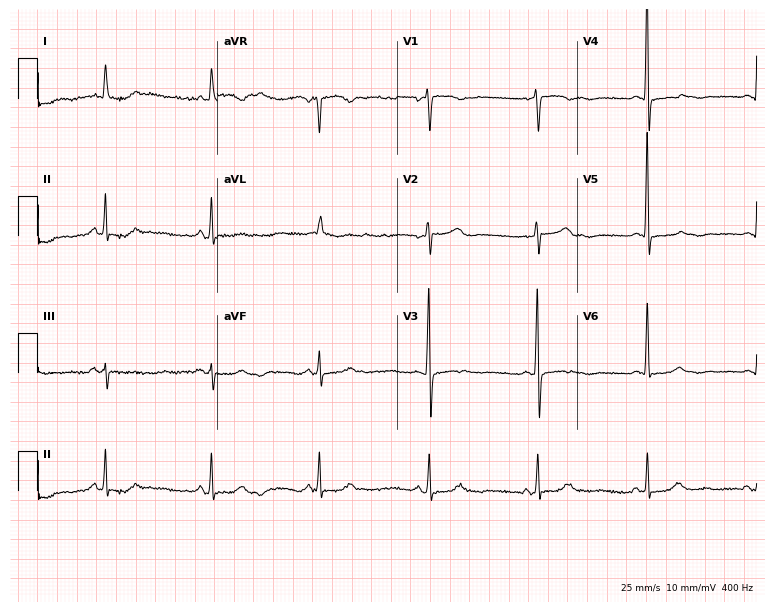
Resting 12-lead electrocardiogram (7.3-second recording at 400 Hz). Patient: an 80-year-old female. None of these six findings is recorded: first-degree AV block, right bundle branch block (RBBB), left bundle branch block (LBBB), sinus bradycardia, atrial fibrillation (AF), sinus tachycardia. Other findings, if any, are not listed.